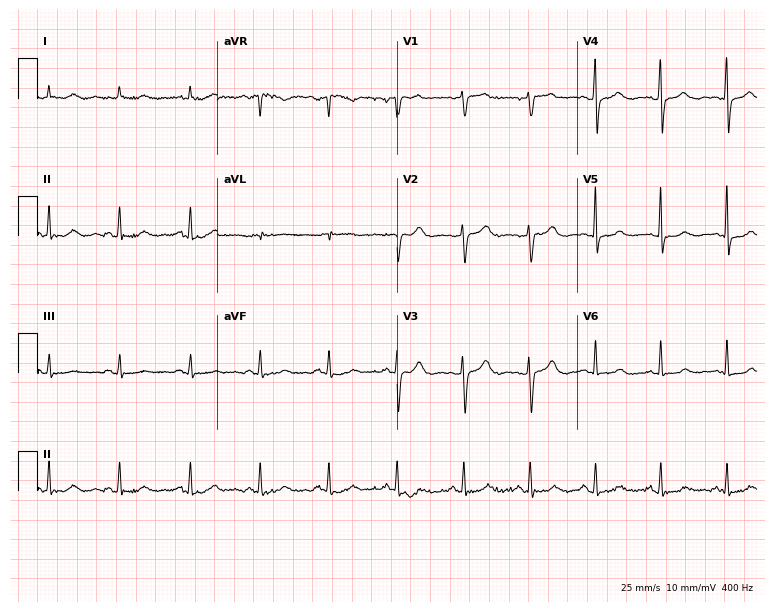
12-lead ECG (7.3-second recording at 400 Hz) from a woman, 52 years old. Screened for six findings — first-degree AV block, right bundle branch block, left bundle branch block, sinus bradycardia, atrial fibrillation, sinus tachycardia — none is recorded. Other findings, if any, are not listed.